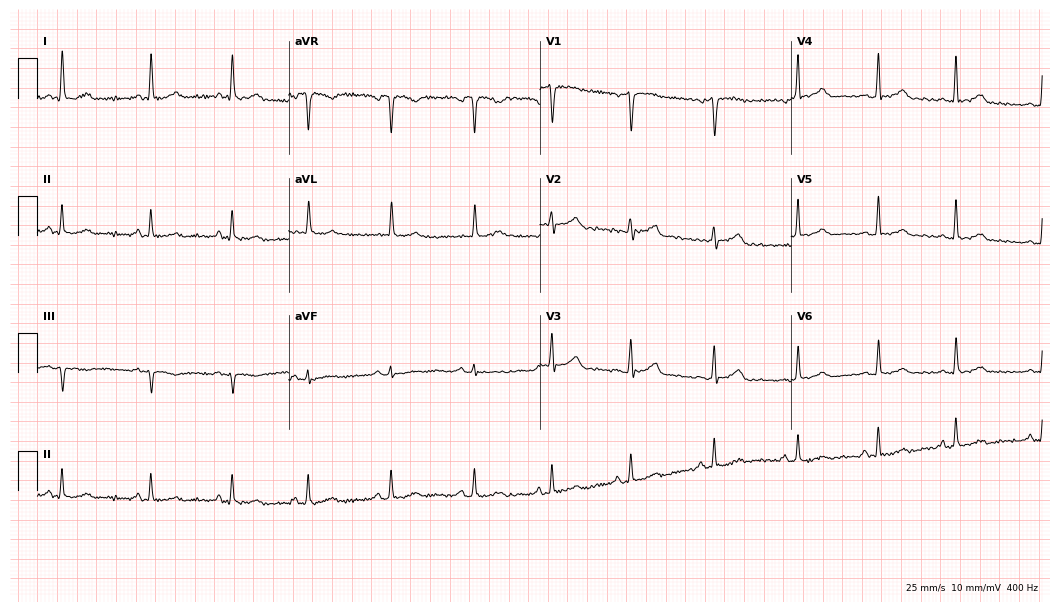
ECG (10.2-second recording at 400 Hz) — a 56-year-old female patient. Labelled as a normal ECG.